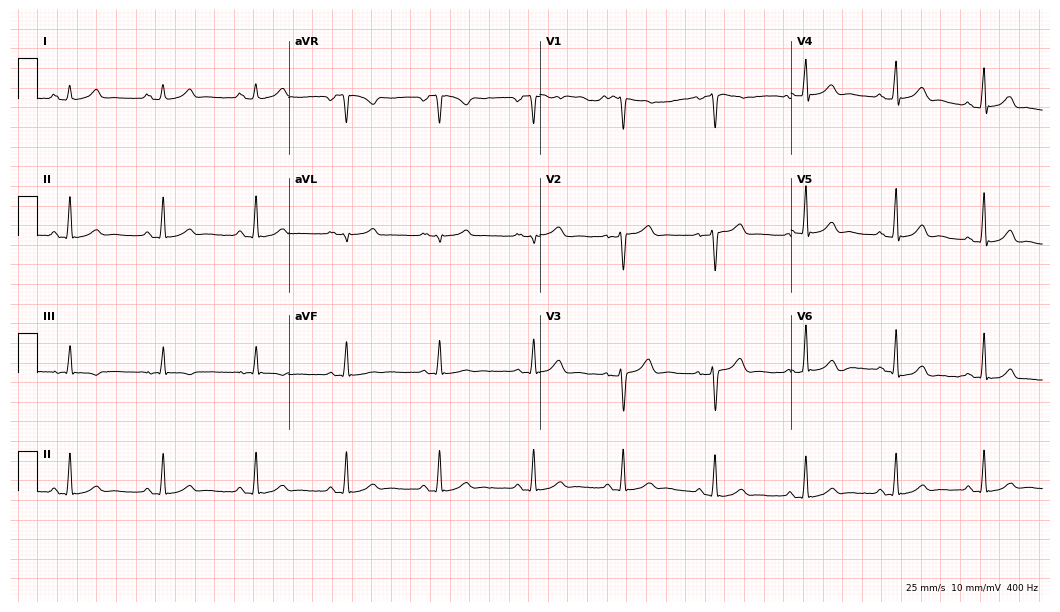
ECG — a 32-year-old female. Labelled as a normal ECG.